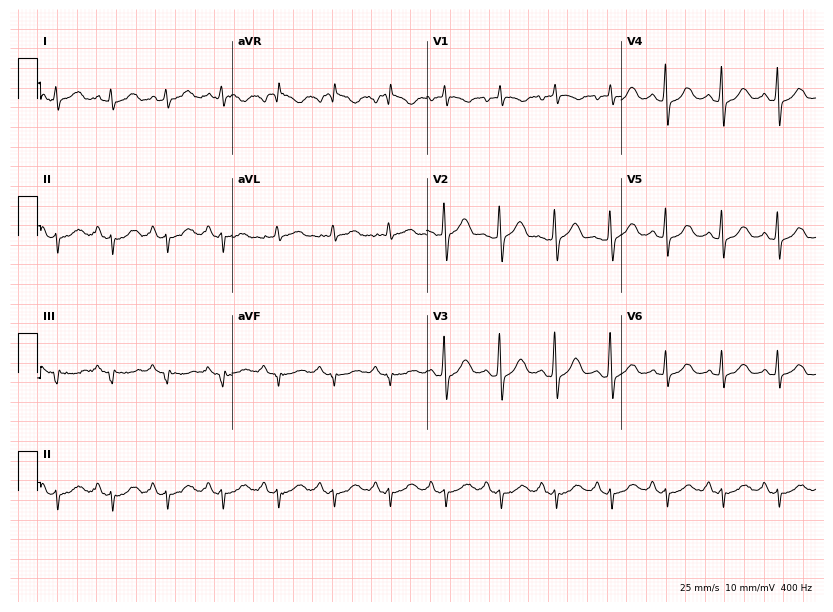
Electrocardiogram (7.9-second recording at 400 Hz), a 70-year-old female patient. Interpretation includes sinus tachycardia (a sinus rate of 100 beats per minute or more).